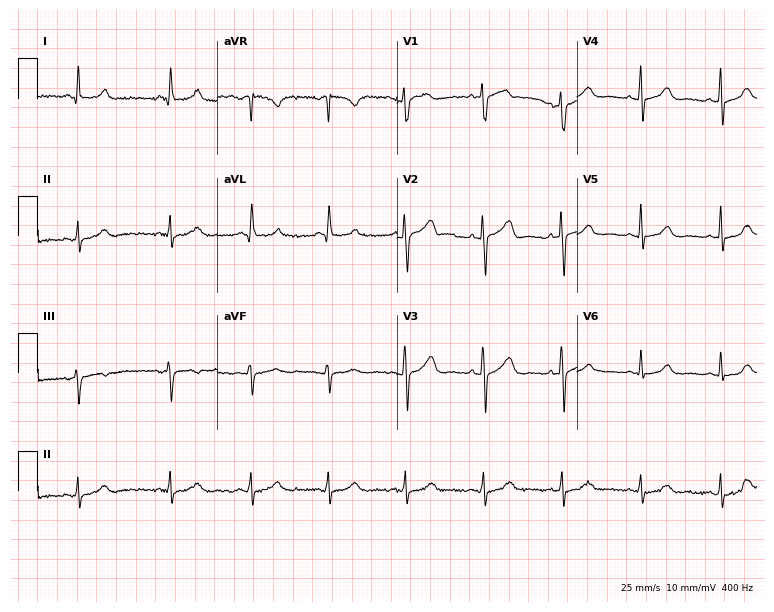
ECG (7.3-second recording at 400 Hz) — a female, 58 years old. Labelled as a normal ECG.